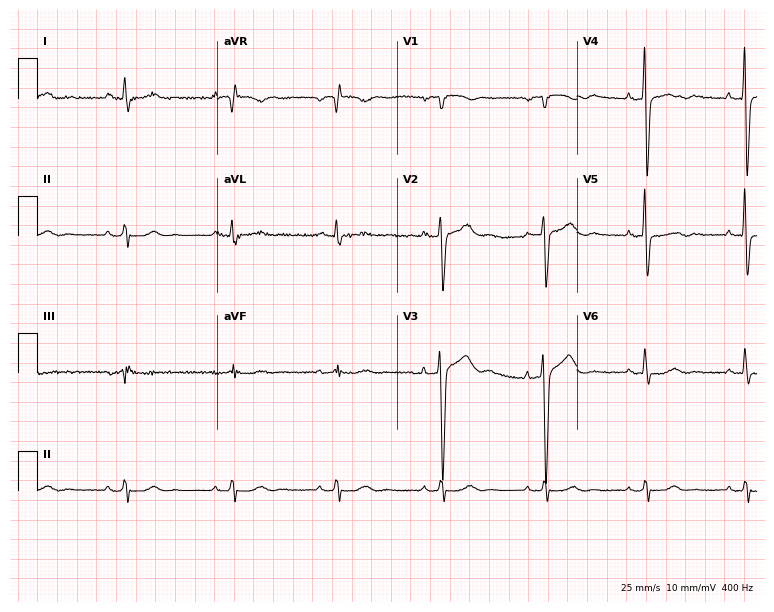
12-lead ECG from a 70-year-old male patient. No first-degree AV block, right bundle branch block (RBBB), left bundle branch block (LBBB), sinus bradycardia, atrial fibrillation (AF) or sinus tachycardia recorded for this tracing.